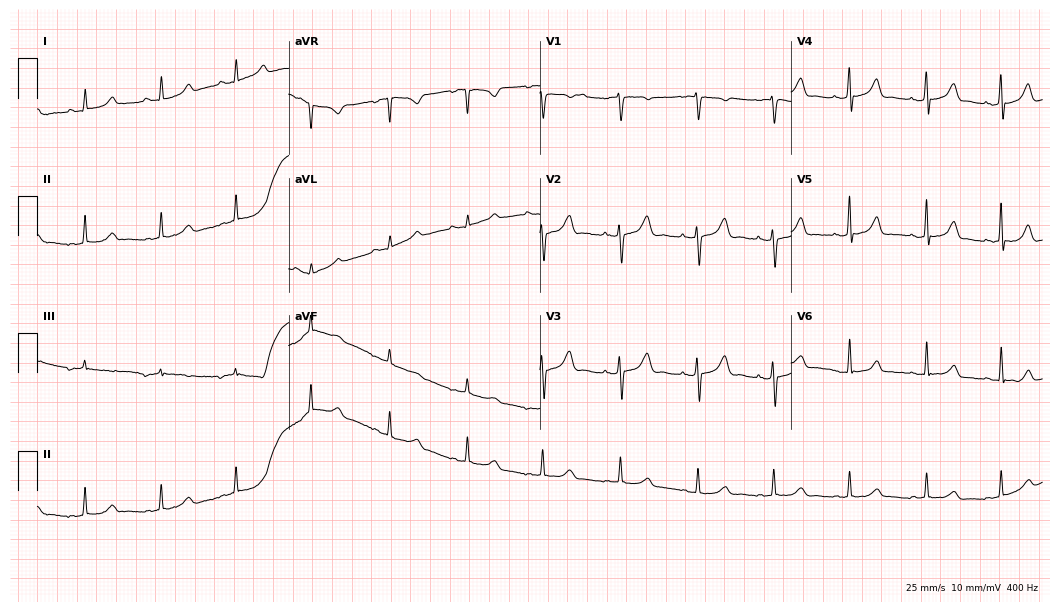
12-lead ECG from a 26-year-old woman. Labelled as a normal ECG.